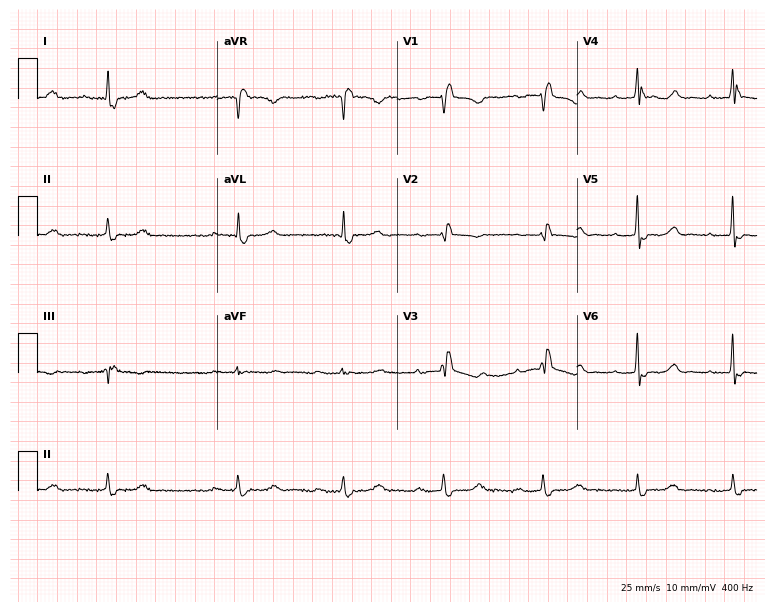
12-lead ECG from a 73-year-old female. Shows first-degree AV block, right bundle branch block.